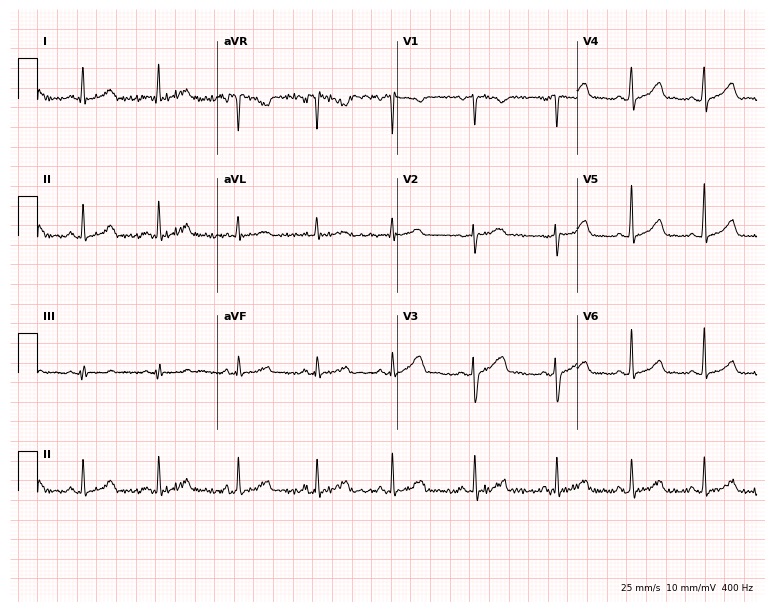
Standard 12-lead ECG recorded from a female patient, 25 years old. Read as a normal ECG.